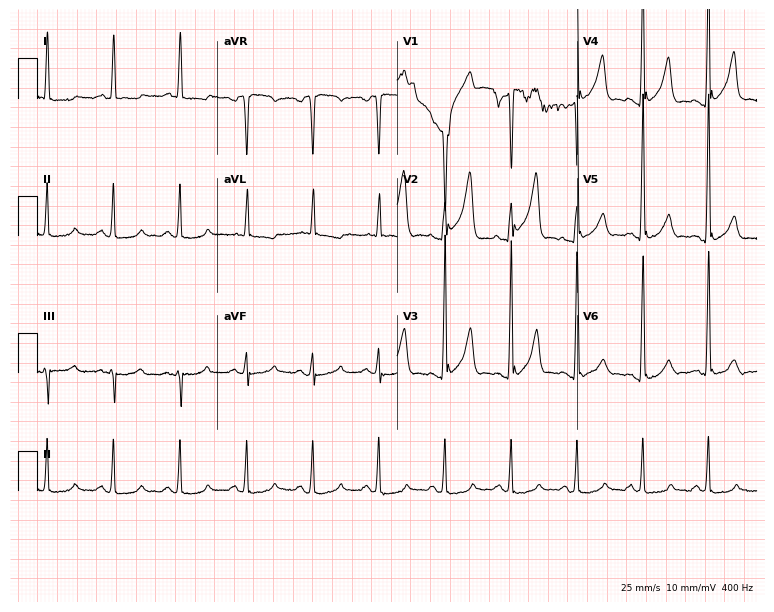
ECG — a 70-year-old male patient. Screened for six findings — first-degree AV block, right bundle branch block, left bundle branch block, sinus bradycardia, atrial fibrillation, sinus tachycardia — none is recorded. Findings outside these six are not listed.